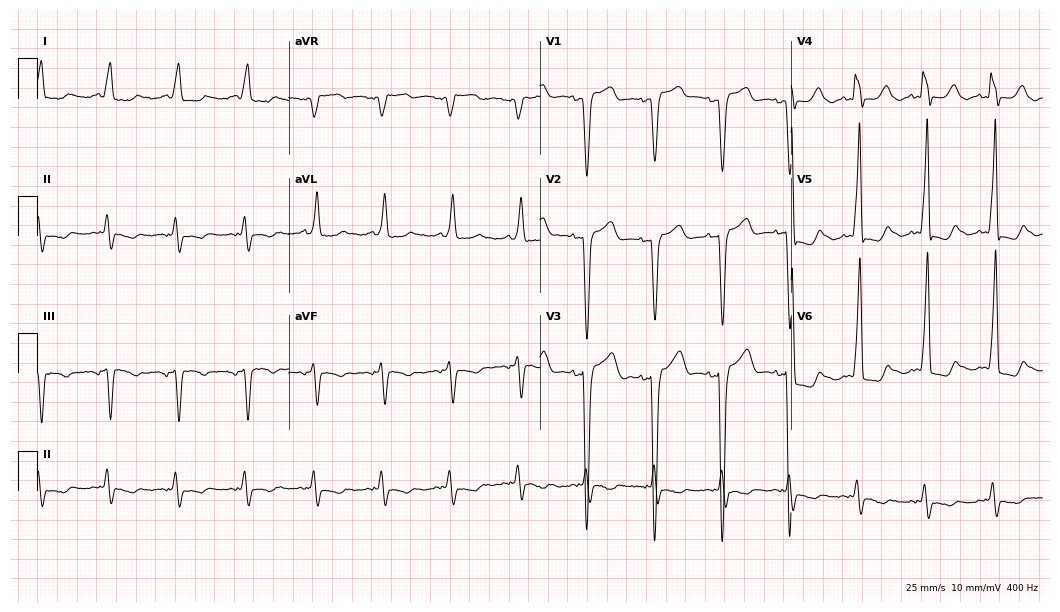
12-lead ECG (10.2-second recording at 400 Hz) from a female patient, 73 years old. Findings include left bundle branch block.